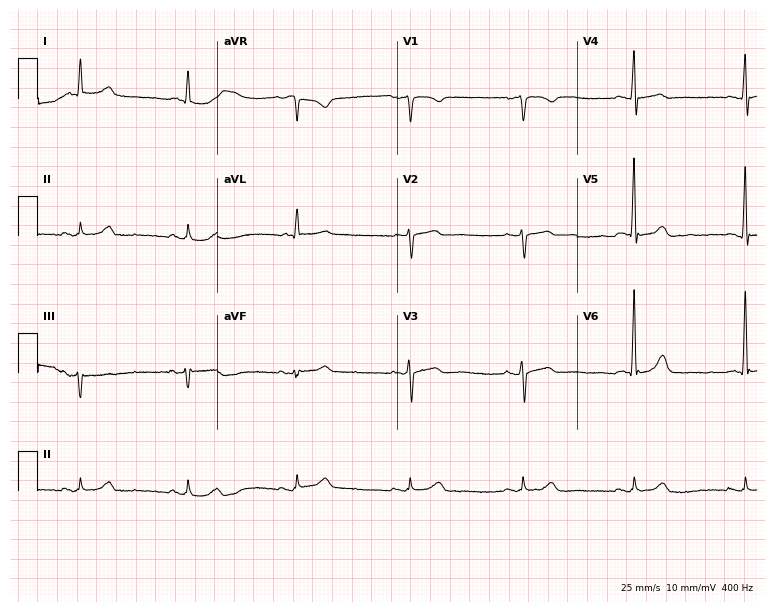
Resting 12-lead electrocardiogram (7.3-second recording at 400 Hz). Patient: a man, 77 years old. None of these six findings is recorded: first-degree AV block, right bundle branch block, left bundle branch block, sinus bradycardia, atrial fibrillation, sinus tachycardia. Only these six findings were labelled.